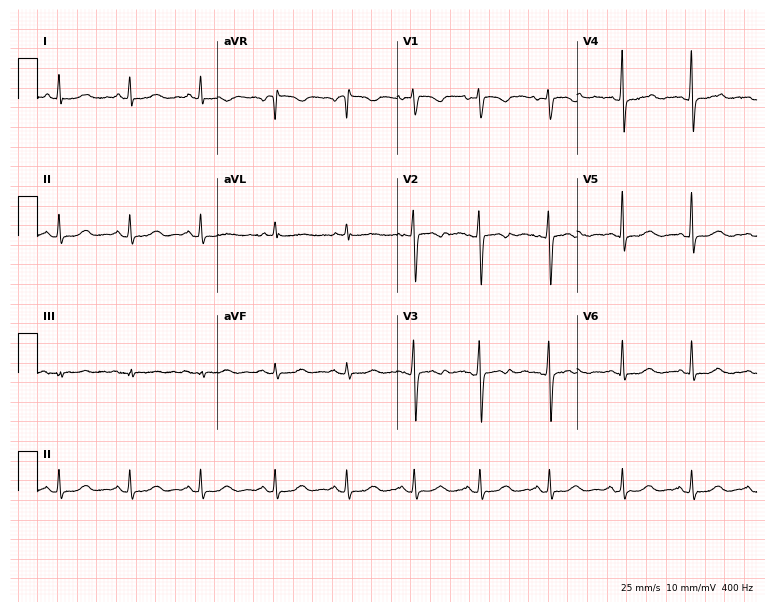
Electrocardiogram, a female patient, 35 years old. Overall reading on record: normal ECG.